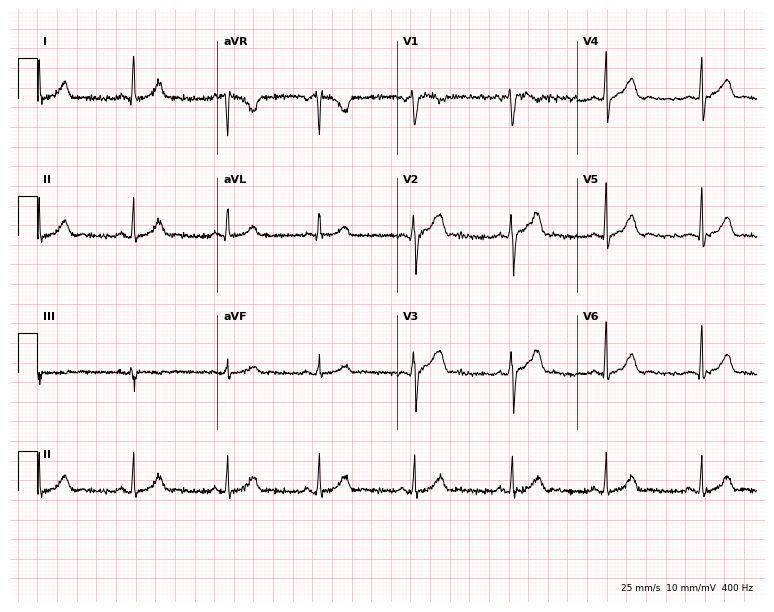
Standard 12-lead ECG recorded from a 43-year-old woman (7.3-second recording at 400 Hz). Read as a normal ECG.